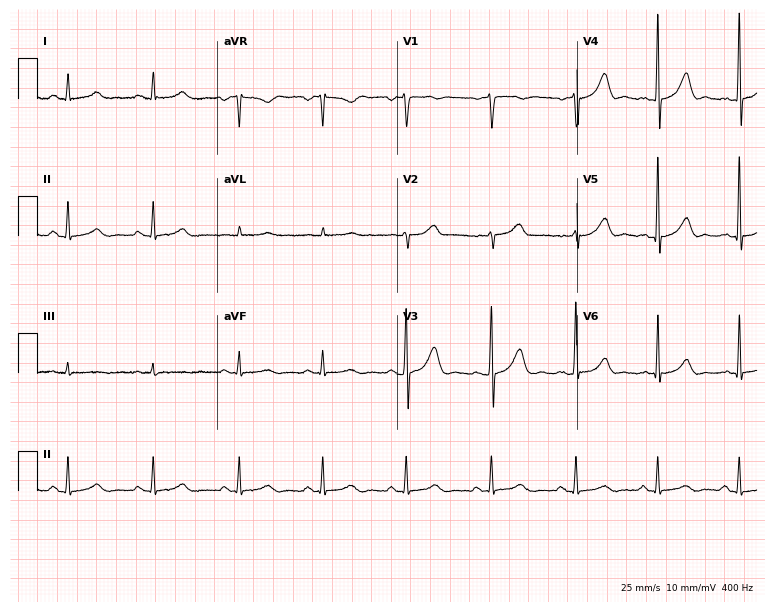
ECG (7.3-second recording at 400 Hz) — a 64-year-old man. Screened for six findings — first-degree AV block, right bundle branch block, left bundle branch block, sinus bradycardia, atrial fibrillation, sinus tachycardia — none is recorded. Findings outside these six are not listed.